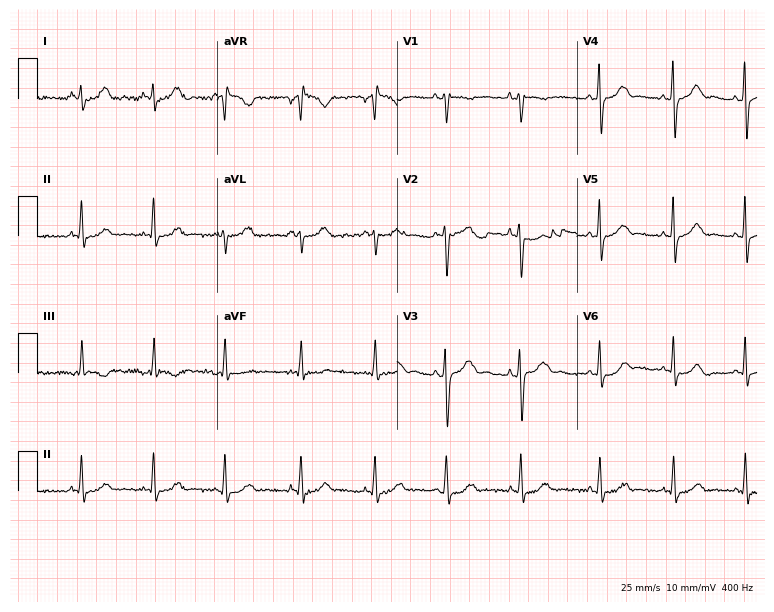
Resting 12-lead electrocardiogram. Patient: a 25-year-old female. None of these six findings is recorded: first-degree AV block, right bundle branch block, left bundle branch block, sinus bradycardia, atrial fibrillation, sinus tachycardia.